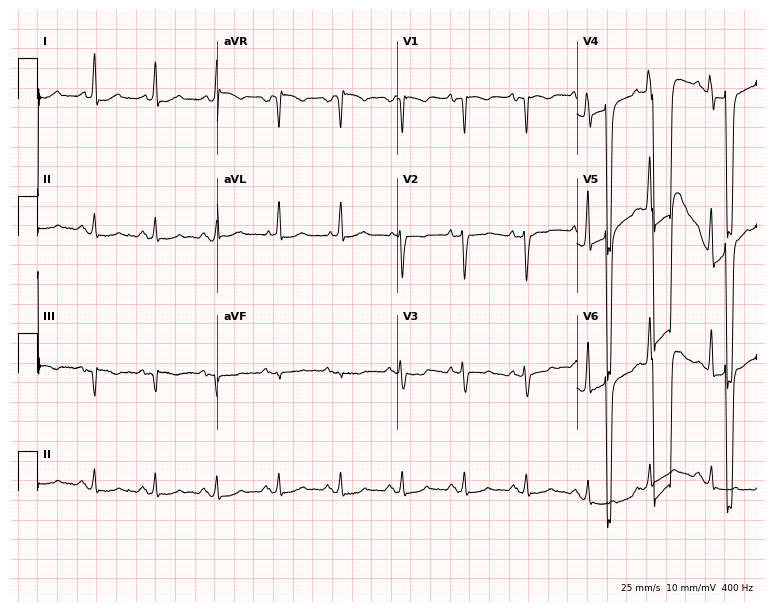
12-lead ECG from a 64-year-old male patient. Screened for six findings — first-degree AV block, right bundle branch block (RBBB), left bundle branch block (LBBB), sinus bradycardia, atrial fibrillation (AF), sinus tachycardia — none is recorded.